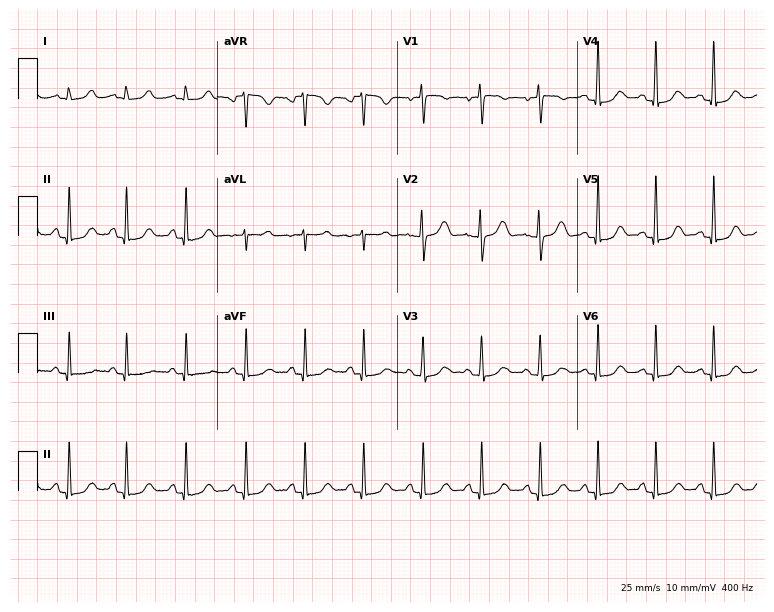
Electrocardiogram (7.3-second recording at 400 Hz), a female patient, 51 years old. Overall reading on record: normal ECG.